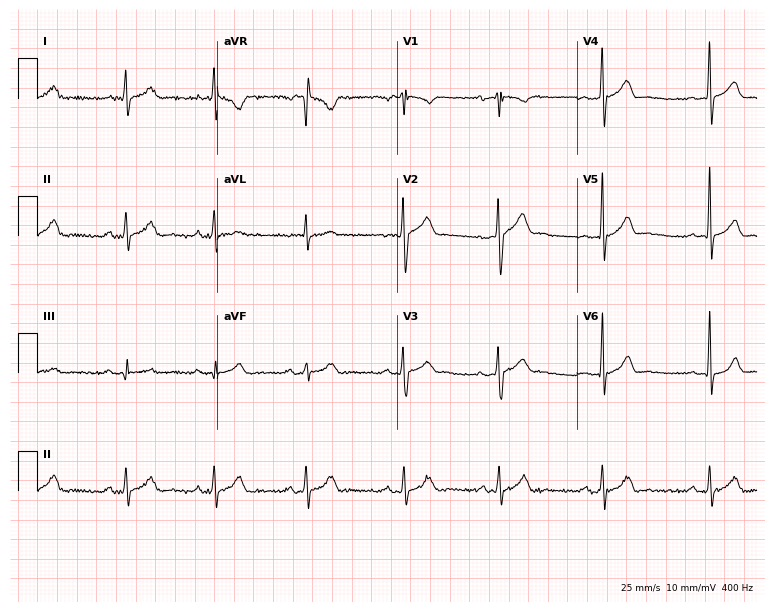
12-lead ECG (7.3-second recording at 400 Hz) from a 26-year-old male patient. Labelled as a normal ECG.